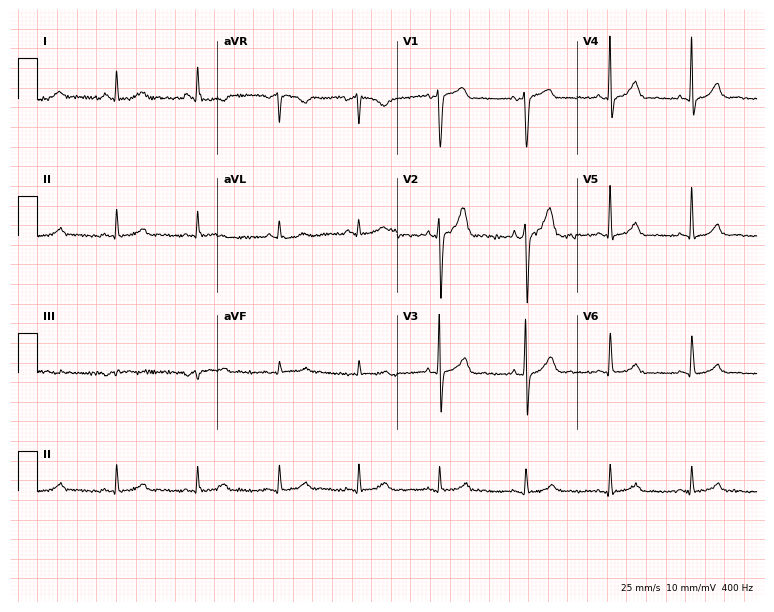
Electrocardiogram, a 46-year-old woman. Of the six screened findings (first-degree AV block, right bundle branch block (RBBB), left bundle branch block (LBBB), sinus bradycardia, atrial fibrillation (AF), sinus tachycardia), none is recorded.